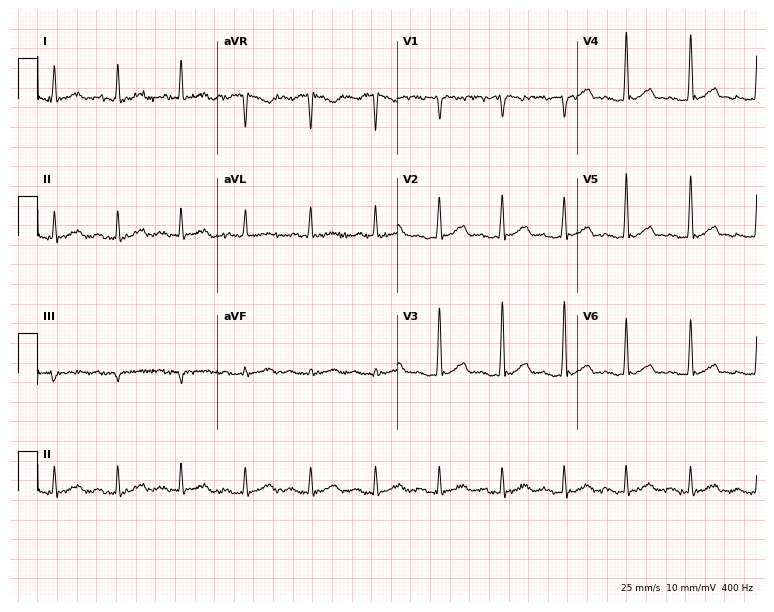
Electrocardiogram, a 35-year-old male patient. Overall reading on record: normal ECG.